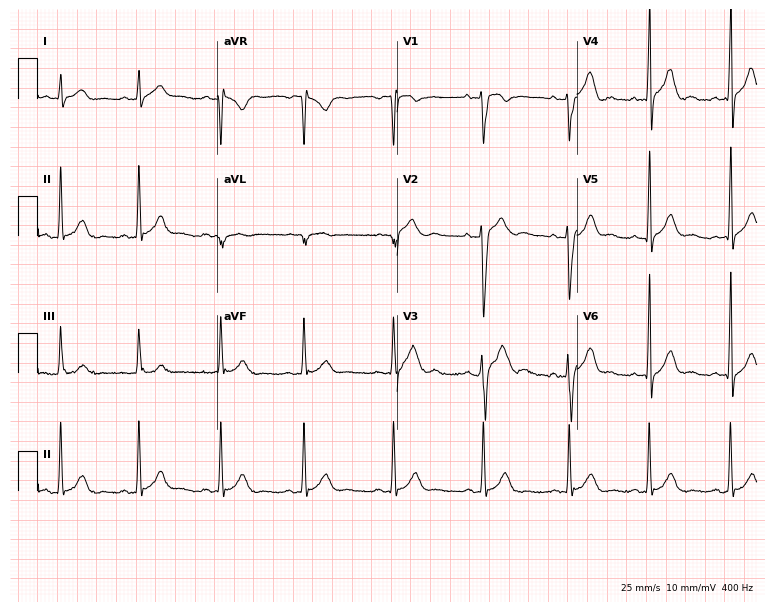
ECG — a 21-year-old male patient. Labelled as a normal ECG.